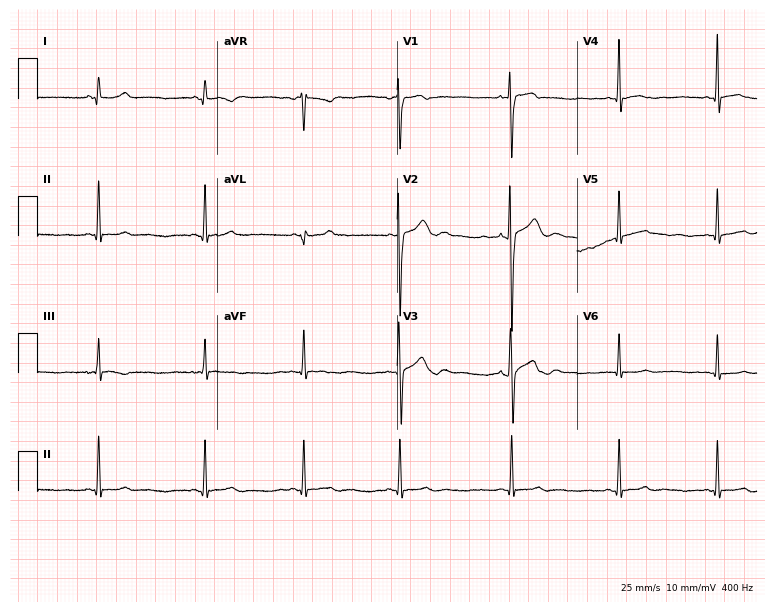
Electrocardiogram, a 17-year-old man. Of the six screened findings (first-degree AV block, right bundle branch block (RBBB), left bundle branch block (LBBB), sinus bradycardia, atrial fibrillation (AF), sinus tachycardia), none is recorded. Only these six findings were labelled.